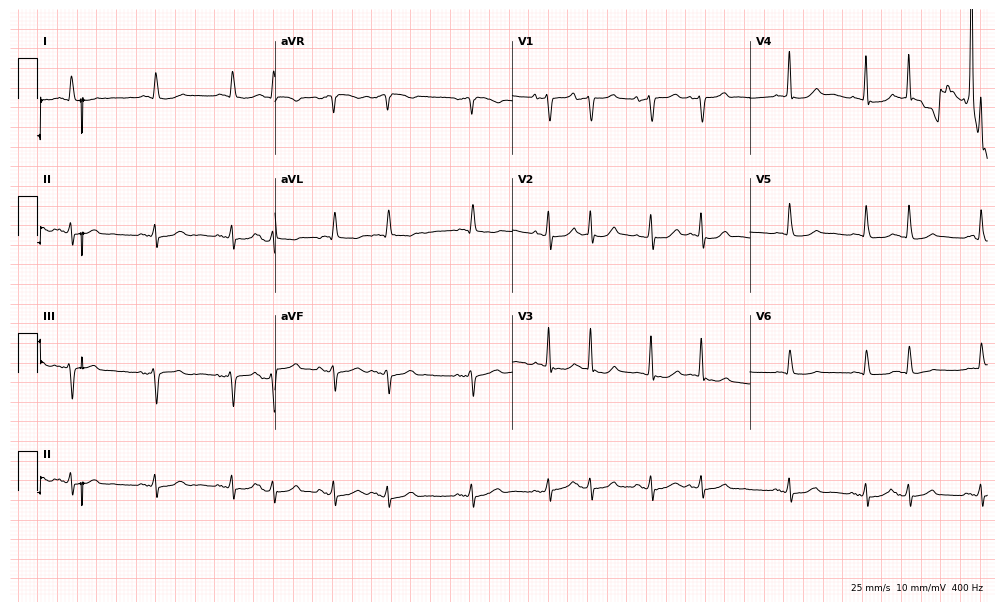
ECG — an 82-year-old woman. Screened for six findings — first-degree AV block, right bundle branch block, left bundle branch block, sinus bradycardia, atrial fibrillation, sinus tachycardia — none is recorded. Other findings, if any, are not listed.